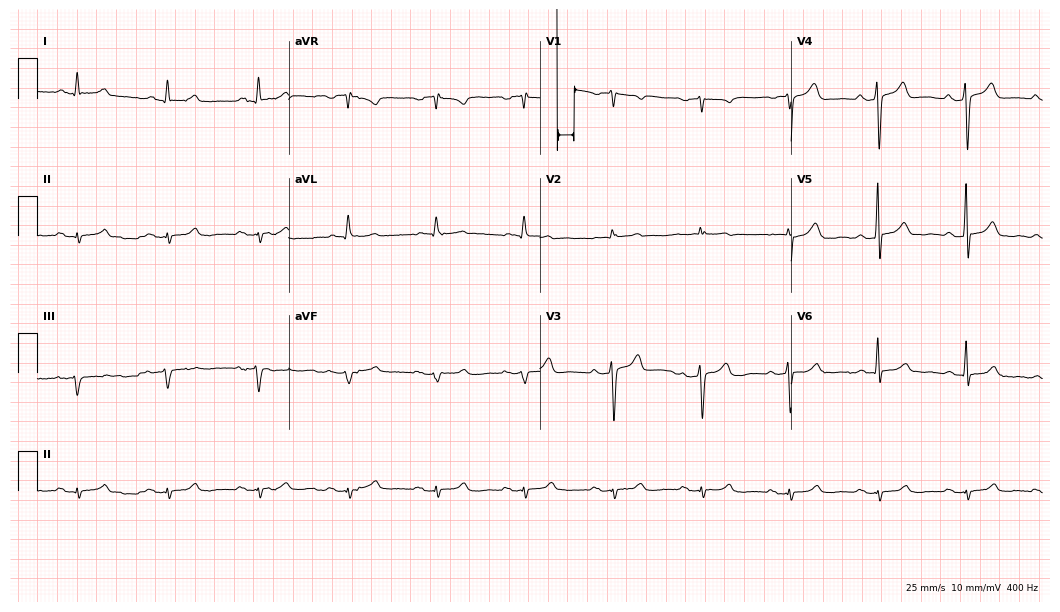
12-lead ECG (10.2-second recording at 400 Hz) from a 57-year-old male patient. Screened for six findings — first-degree AV block, right bundle branch block, left bundle branch block, sinus bradycardia, atrial fibrillation, sinus tachycardia — none is recorded.